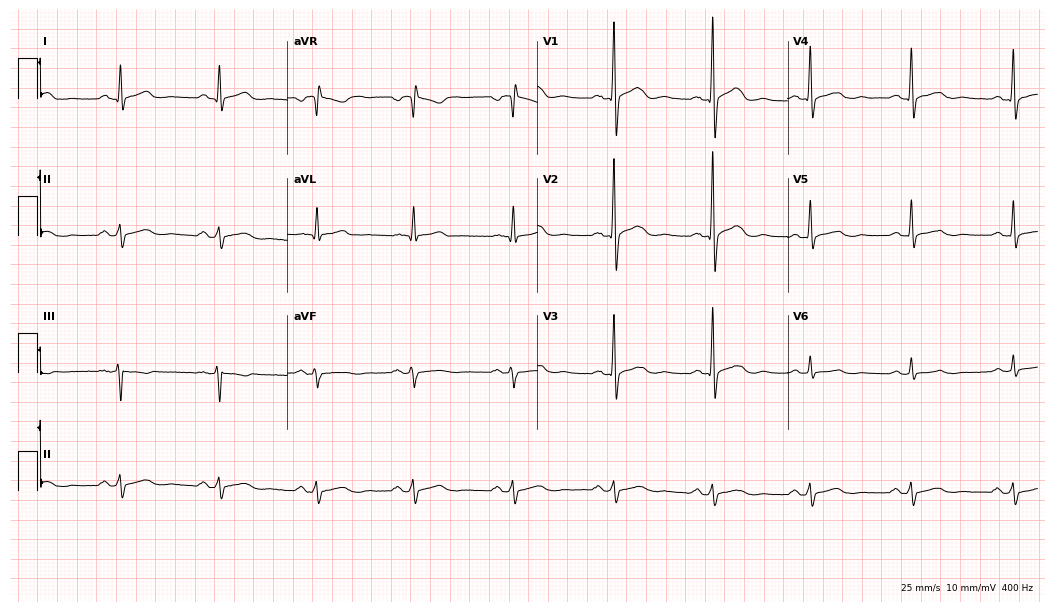
12-lead ECG (10.2-second recording at 400 Hz) from a 69-year-old male patient. Screened for six findings — first-degree AV block, right bundle branch block (RBBB), left bundle branch block (LBBB), sinus bradycardia, atrial fibrillation (AF), sinus tachycardia — none is recorded.